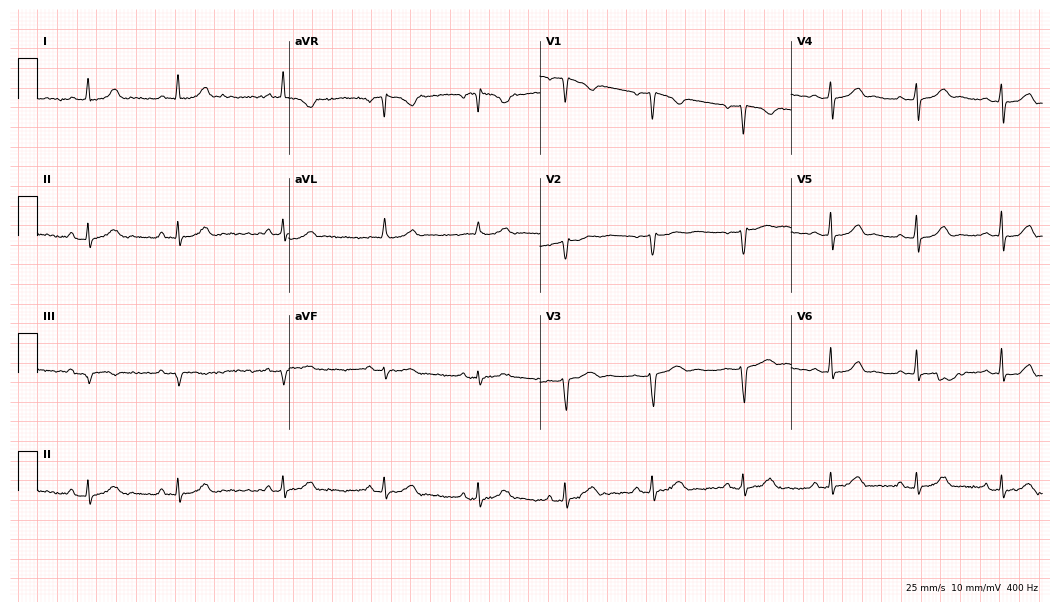
Resting 12-lead electrocardiogram (10.2-second recording at 400 Hz). Patient: a 42-year-old woman. Read as a normal ECG.